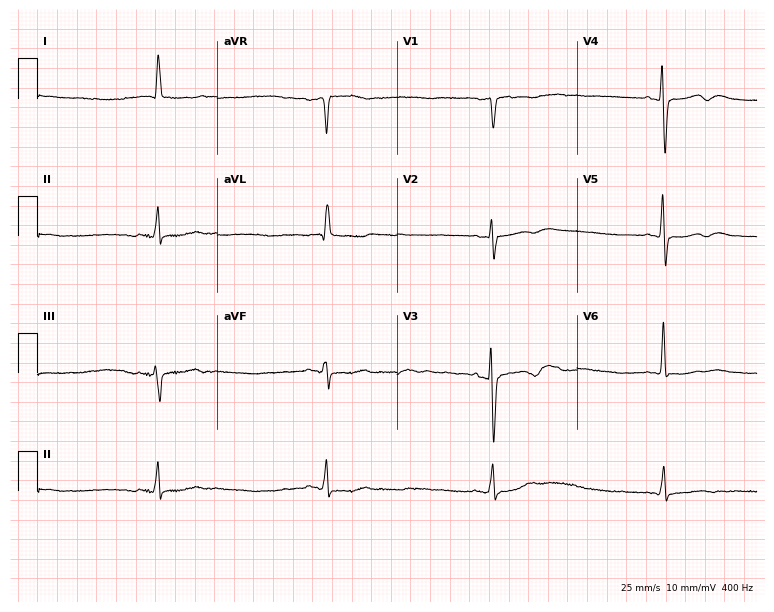
12-lead ECG from a female patient, 85 years old. Findings include sinus bradycardia (a sinus rate of 50 beats per minute or less).